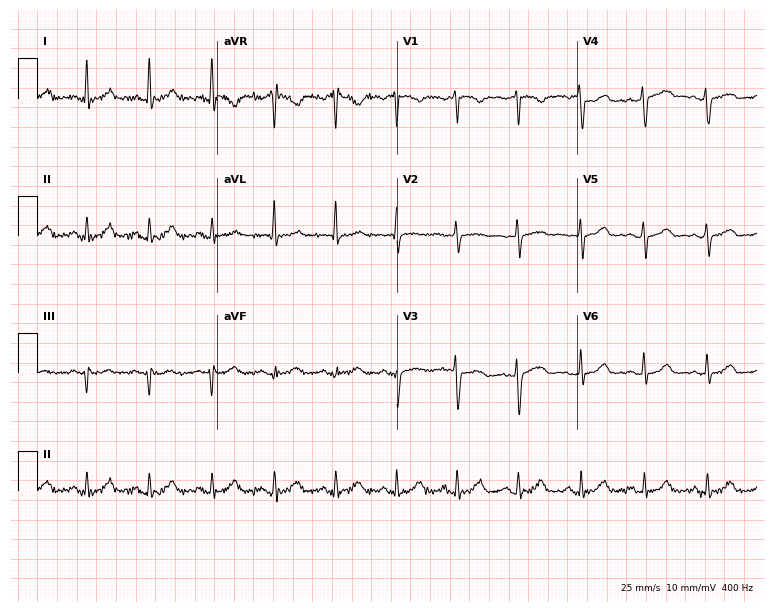
Standard 12-lead ECG recorded from a female, 57 years old. Read as a normal ECG.